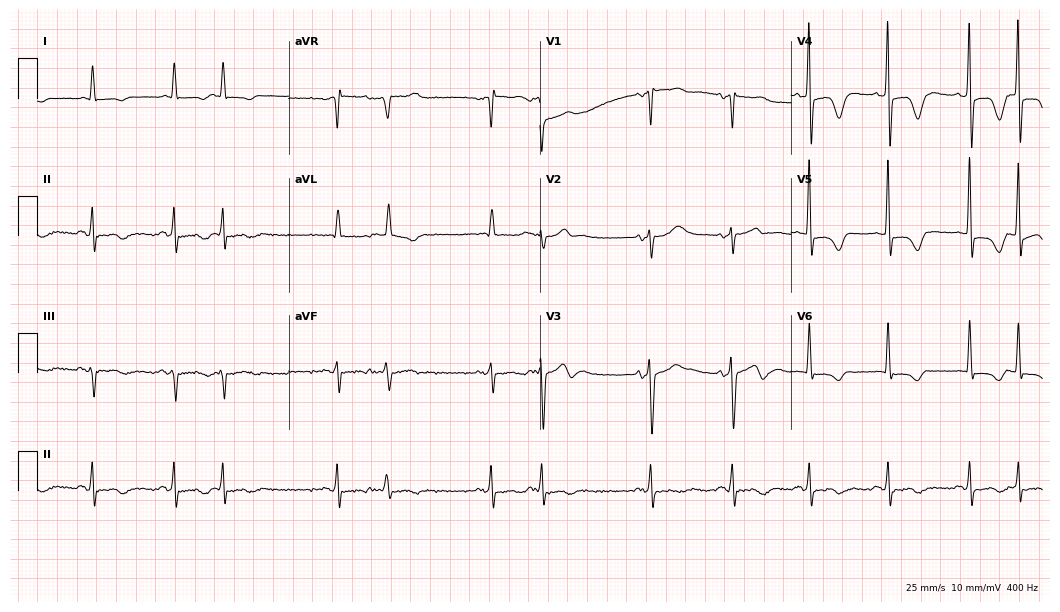
ECG — a man, 69 years old. Screened for six findings — first-degree AV block, right bundle branch block (RBBB), left bundle branch block (LBBB), sinus bradycardia, atrial fibrillation (AF), sinus tachycardia — none is recorded. Other findings, if any, are not listed.